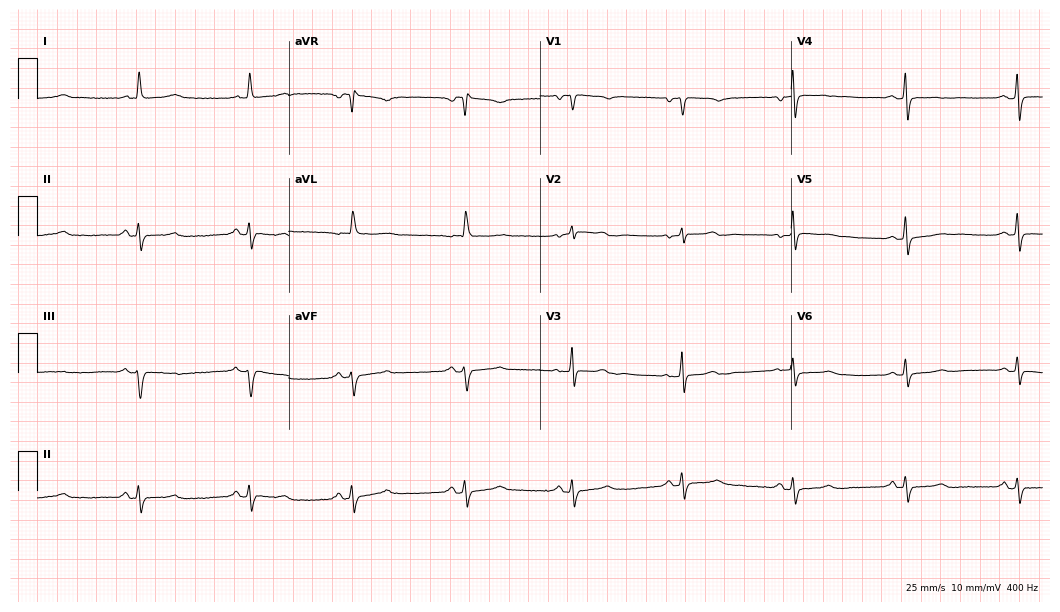
12-lead ECG (10.2-second recording at 400 Hz) from a 69-year-old female. Screened for six findings — first-degree AV block, right bundle branch block (RBBB), left bundle branch block (LBBB), sinus bradycardia, atrial fibrillation (AF), sinus tachycardia — none is recorded.